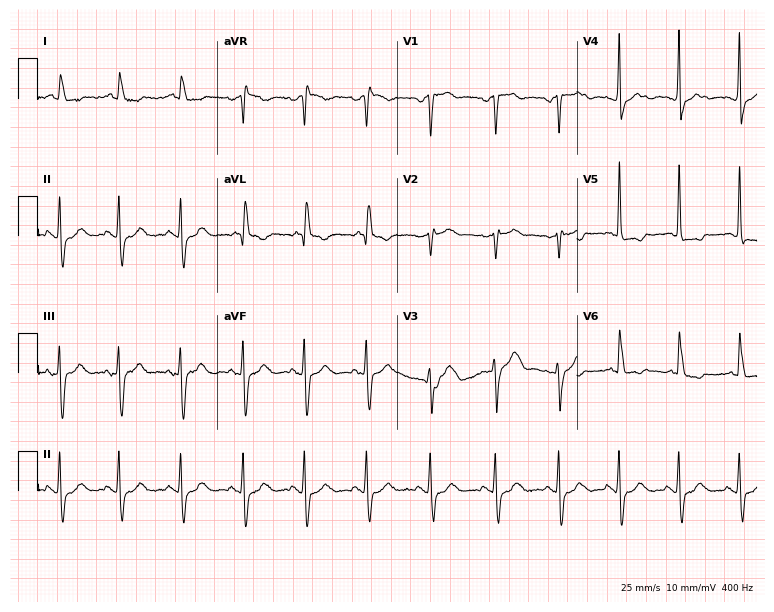
12-lead ECG (7.3-second recording at 400 Hz) from a male, 76 years old. Screened for six findings — first-degree AV block, right bundle branch block, left bundle branch block, sinus bradycardia, atrial fibrillation, sinus tachycardia — none is recorded.